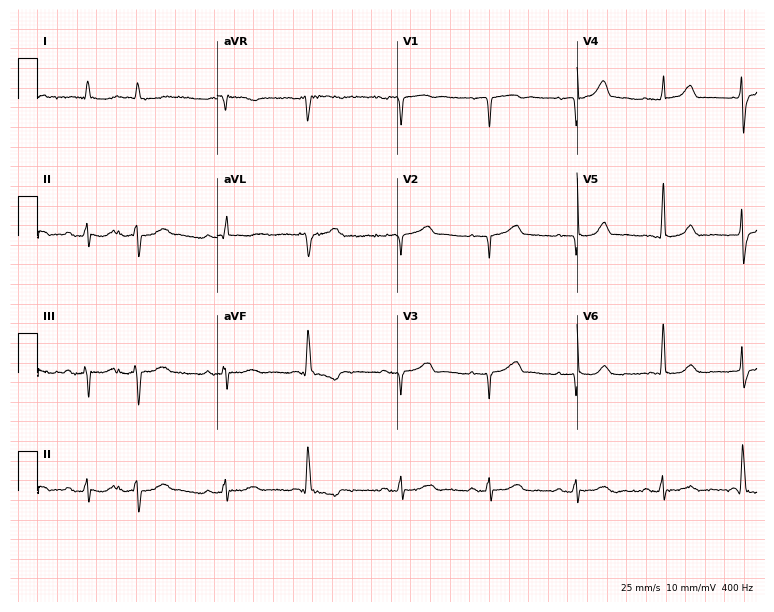
Electrocardiogram, a 72-year-old male patient. Of the six screened findings (first-degree AV block, right bundle branch block, left bundle branch block, sinus bradycardia, atrial fibrillation, sinus tachycardia), none is recorded.